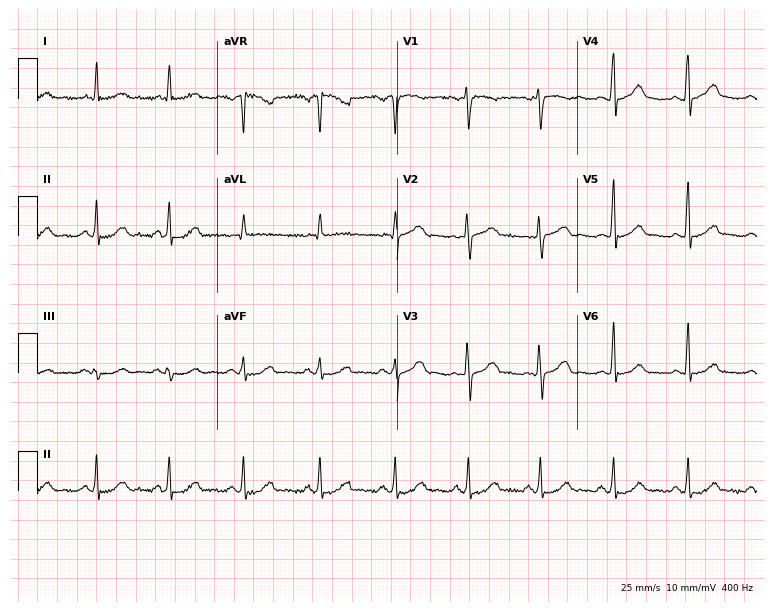
12-lead ECG (7.3-second recording at 400 Hz) from a woman, 45 years old. Screened for six findings — first-degree AV block, right bundle branch block, left bundle branch block, sinus bradycardia, atrial fibrillation, sinus tachycardia — none is recorded.